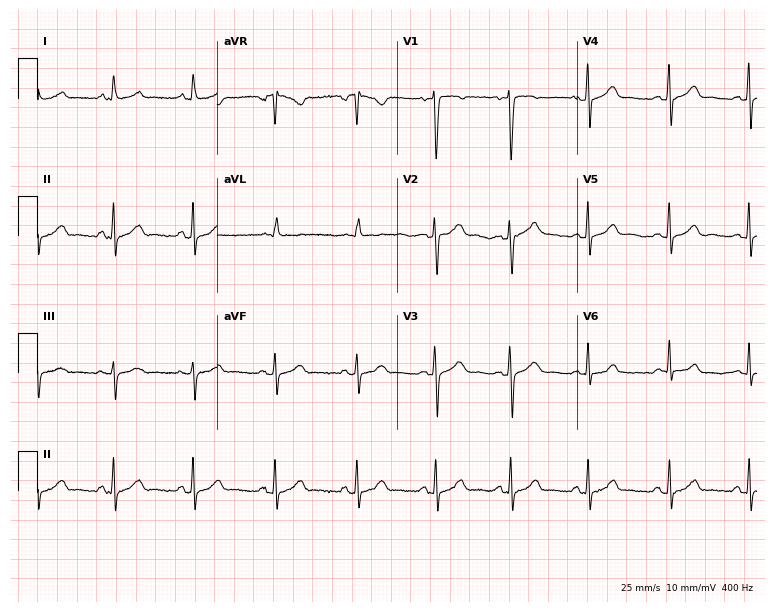
ECG — a female patient, 23 years old. Labelled as a normal ECG.